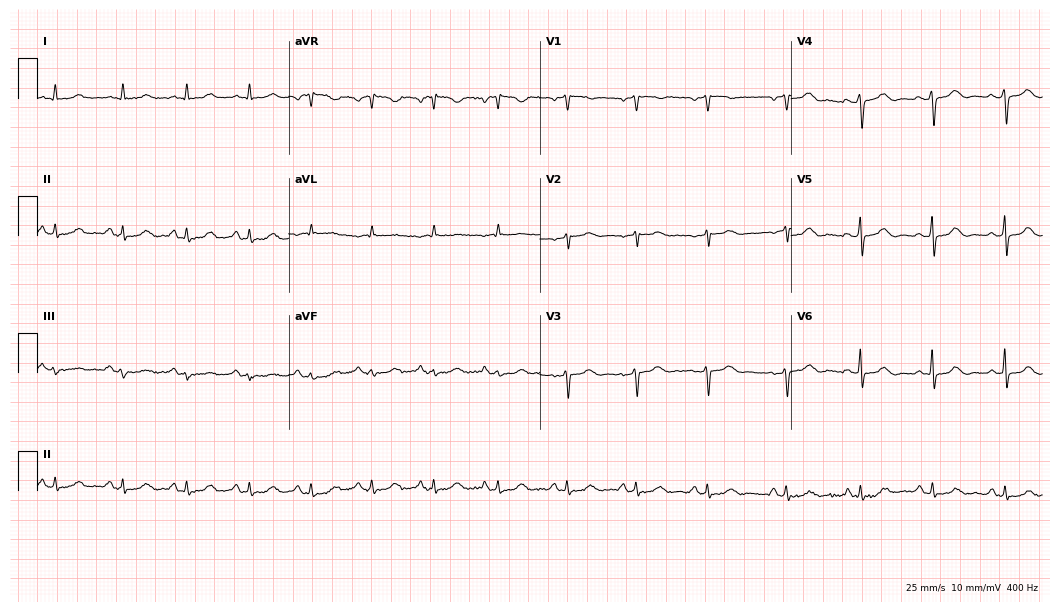
12-lead ECG (10.2-second recording at 400 Hz) from a woman, 51 years old. Screened for six findings — first-degree AV block, right bundle branch block, left bundle branch block, sinus bradycardia, atrial fibrillation, sinus tachycardia — none is recorded. Other findings, if any, are not listed.